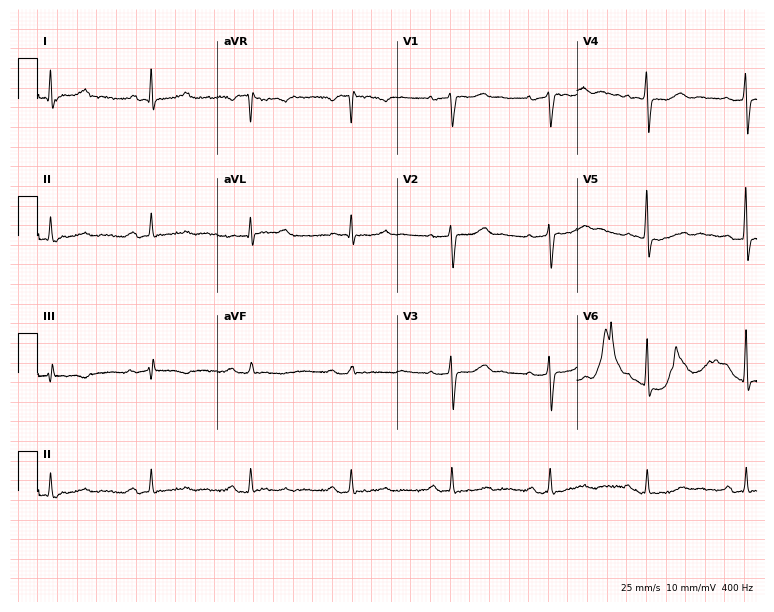
Standard 12-lead ECG recorded from a female patient, 58 years old. None of these six findings is recorded: first-degree AV block, right bundle branch block, left bundle branch block, sinus bradycardia, atrial fibrillation, sinus tachycardia.